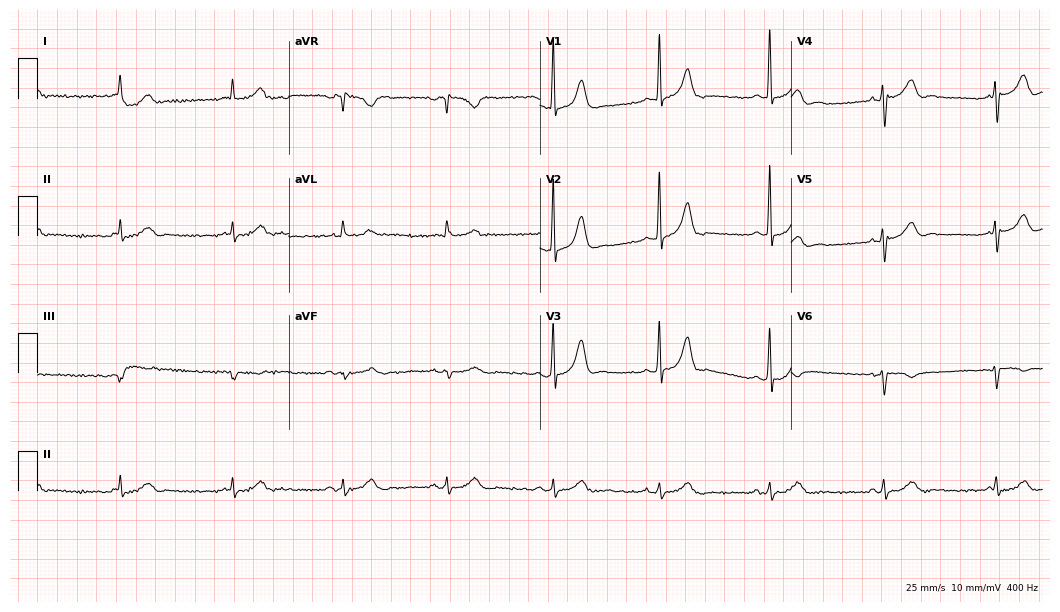
12-lead ECG from a 66-year-old male patient (10.2-second recording at 400 Hz). No first-degree AV block, right bundle branch block (RBBB), left bundle branch block (LBBB), sinus bradycardia, atrial fibrillation (AF) or sinus tachycardia recorded for this tracing.